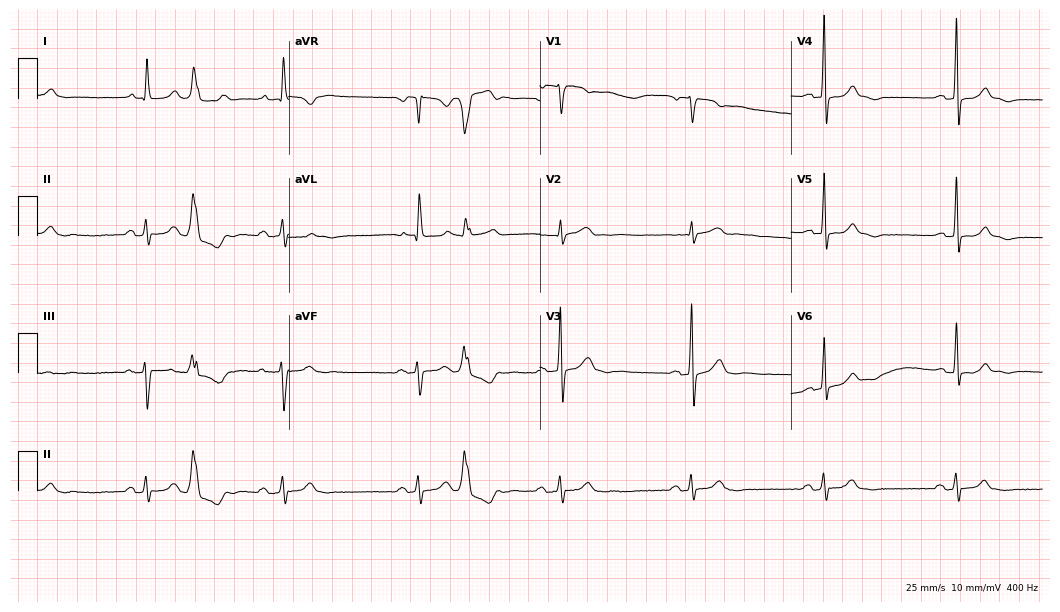
12-lead ECG from a female, 54 years old. Screened for six findings — first-degree AV block, right bundle branch block, left bundle branch block, sinus bradycardia, atrial fibrillation, sinus tachycardia — none is recorded. Only these six findings were labelled.